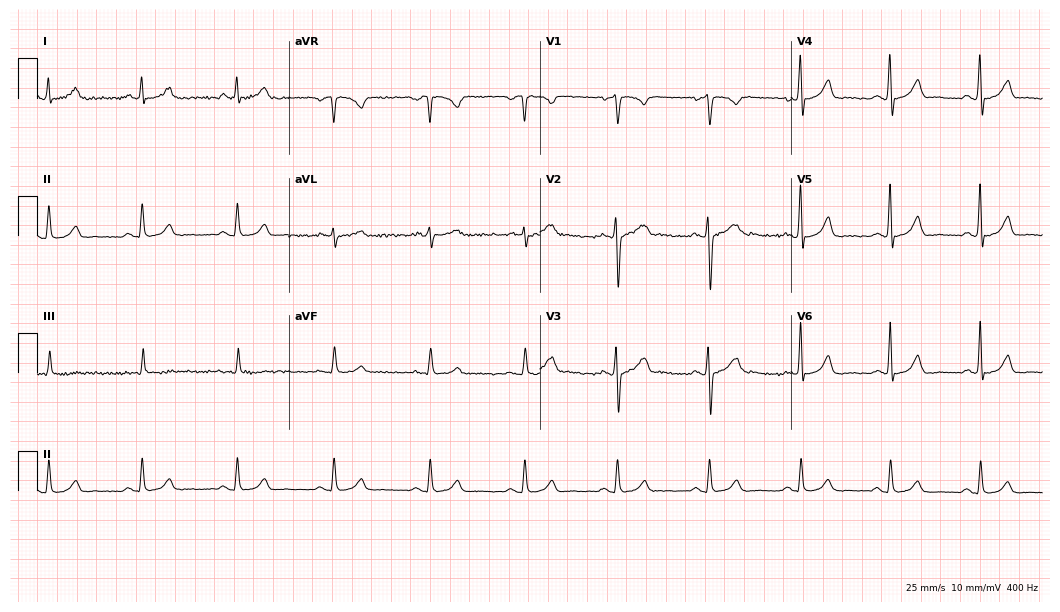
12-lead ECG from a 45-year-old male patient. Labelled as a normal ECG.